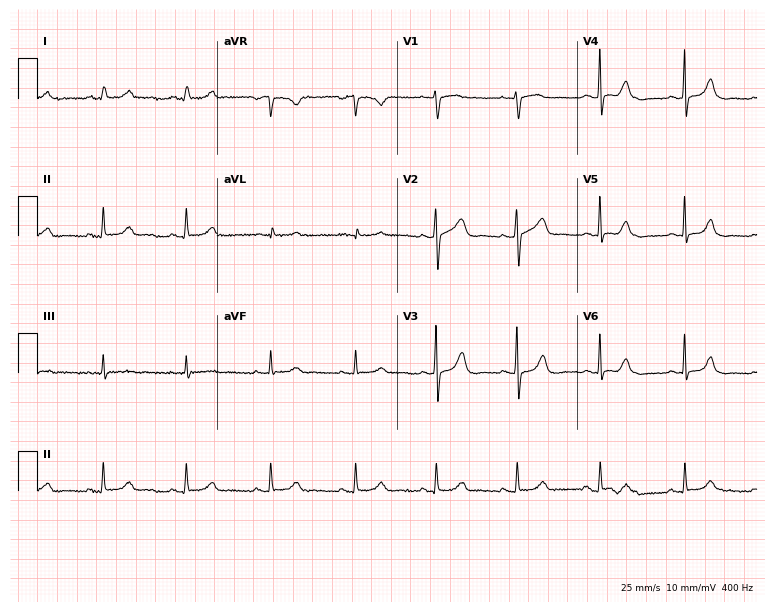
Electrocardiogram, a woman, 24 years old. Overall reading on record: normal ECG.